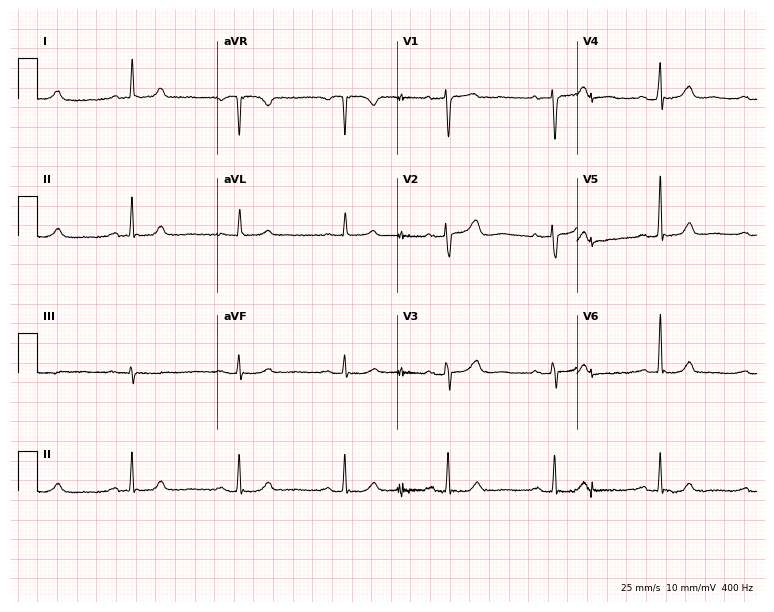
Electrocardiogram (7.3-second recording at 400 Hz), a 55-year-old female patient. Overall reading on record: normal ECG.